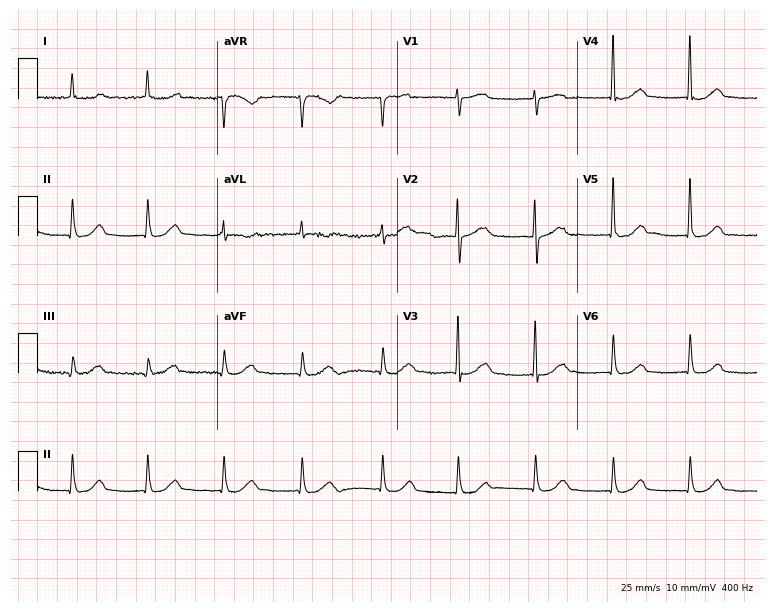
Electrocardiogram (7.3-second recording at 400 Hz), an 84-year-old female patient. Of the six screened findings (first-degree AV block, right bundle branch block, left bundle branch block, sinus bradycardia, atrial fibrillation, sinus tachycardia), none is recorded. Other findings, if any, are not listed.